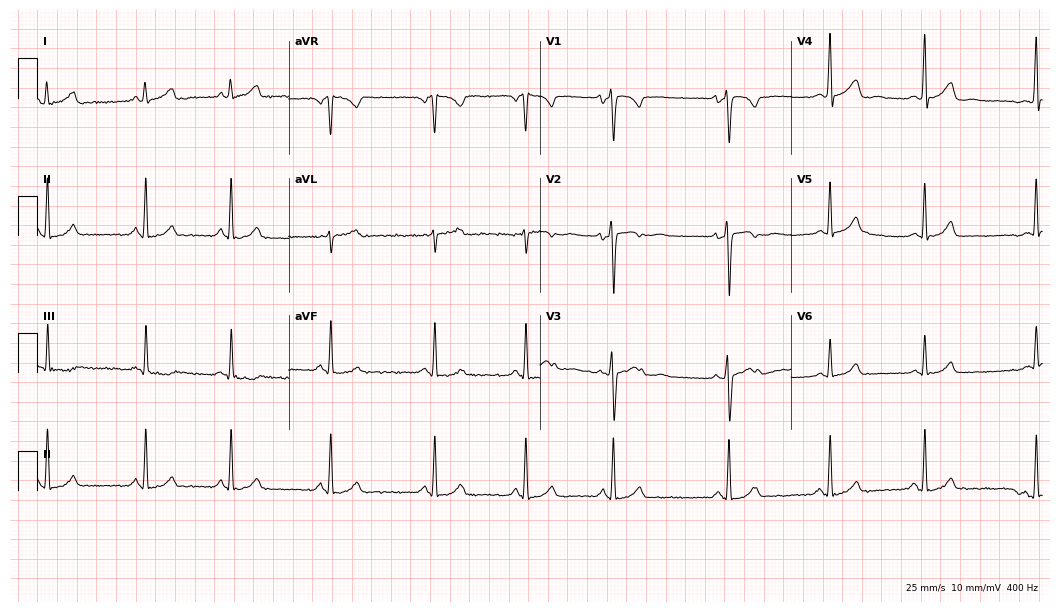
Standard 12-lead ECG recorded from a woman, 27 years old (10.2-second recording at 400 Hz). Read as a normal ECG.